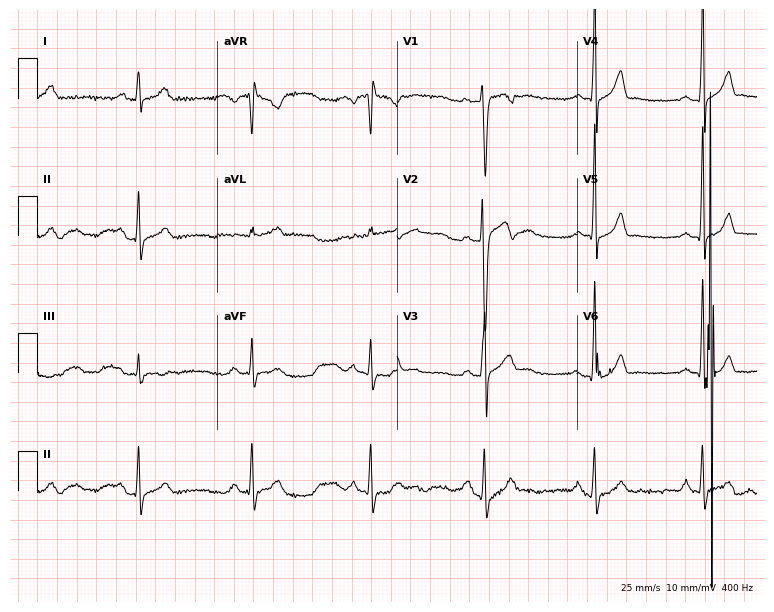
12-lead ECG from a man, 18 years old. Screened for six findings — first-degree AV block, right bundle branch block, left bundle branch block, sinus bradycardia, atrial fibrillation, sinus tachycardia — none is recorded.